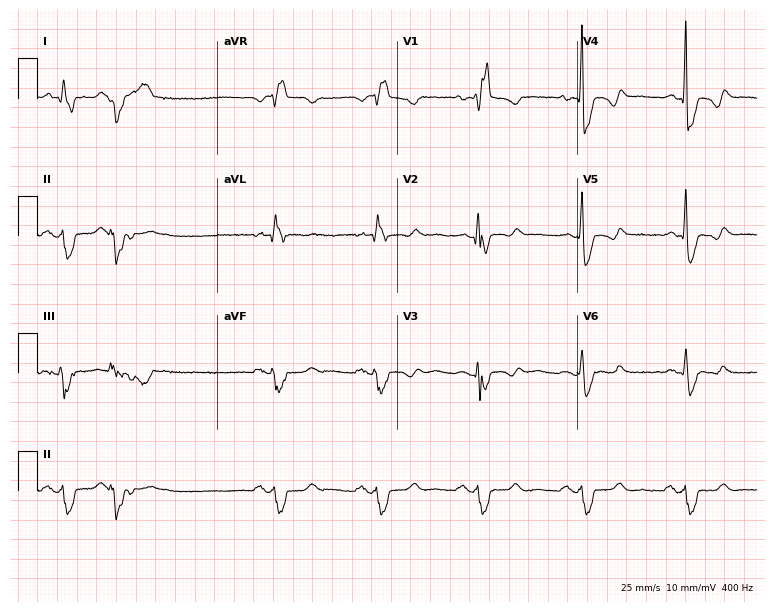
Standard 12-lead ECG recorded from a woman, 46 years old. The tracing shows right bundle branch block.